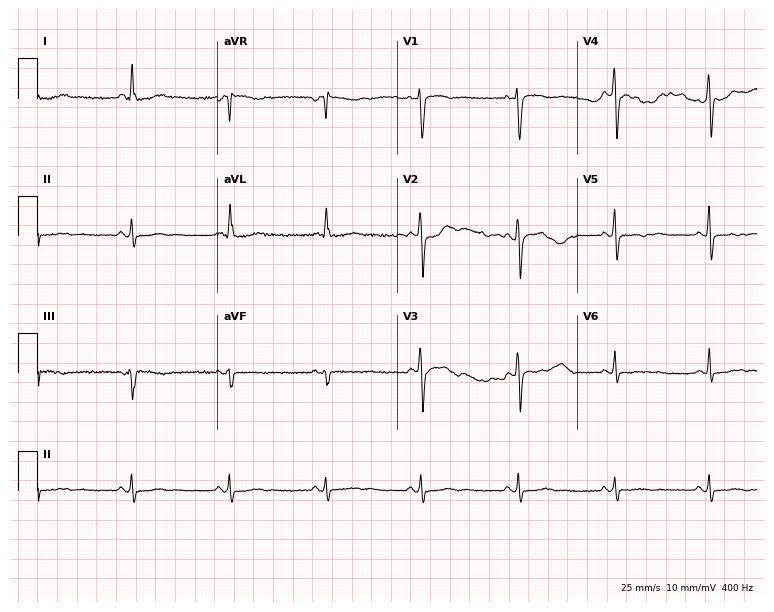
12-lead ECG from a 66-year-old female. No first-degree AV block, right bundle branch block, left bundle branch block, sinus bradycardia, atrial fibrillation or sinus tachycardia recorded for this tracing. Only these six findings were labelled.